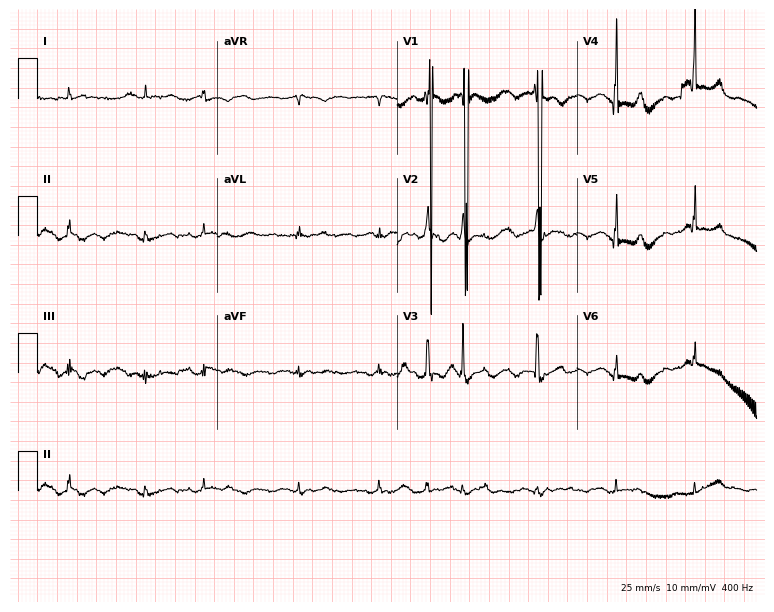
Standard 12-lead ECG recorded from a man, 85 years old (7.3-second recording at 400 Hz). None of these six findings is recorded: first-degree AV block, right bundle branch block, left bundle branch block, sinus bradycardia, atrial fibrillation, sinus tachycardia.